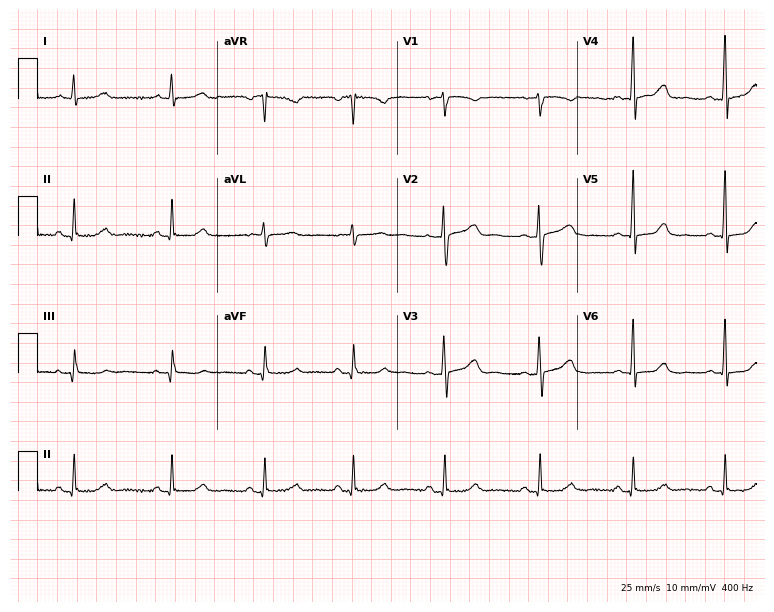
Standard 12-lead ECG recorded from a female patient, 43 years old (7.3-second recording at 400 Hz). Read as a normal ECG.